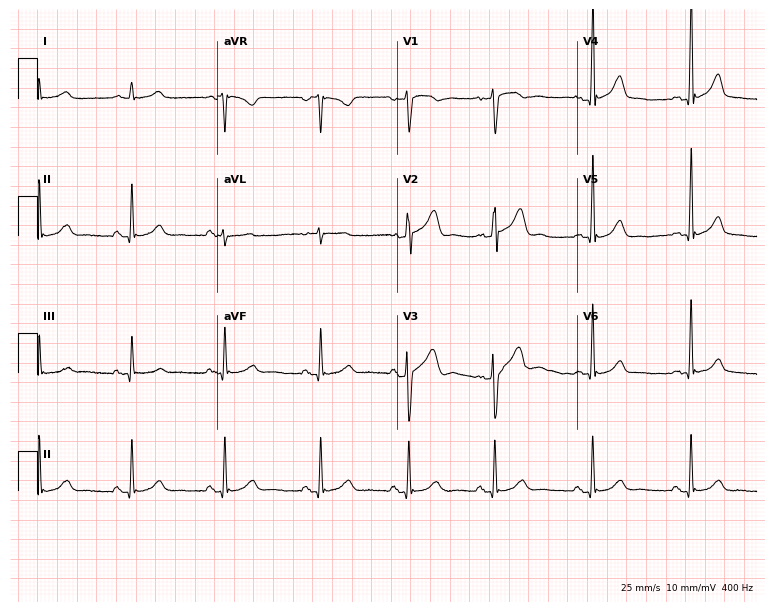
Standard 12-lead ECG recorded from a 40-year-old male (7.3-second recording at 400 Hz). Read as a normal ECG.